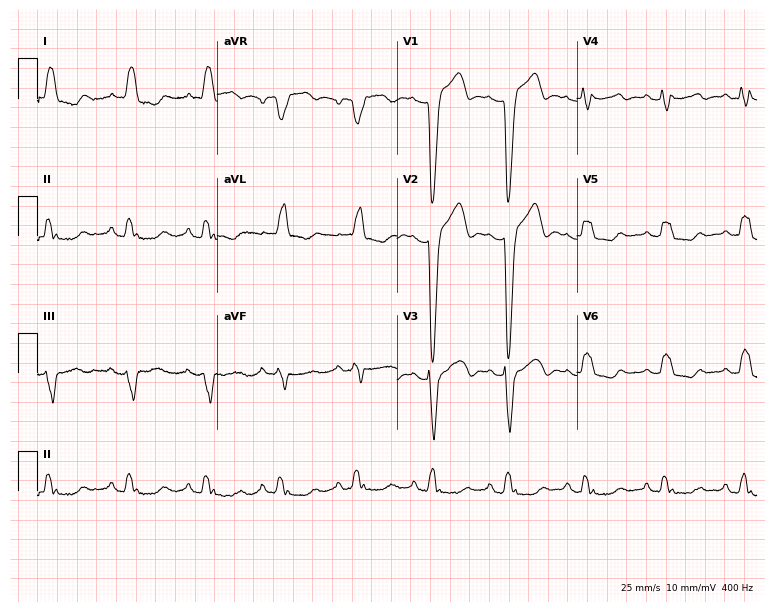
Standard 12-lead ECG recorded from a 56-year-old female (7.3-second recording at 400 Hz). The tracing shows left bundle branch block (LBBB).